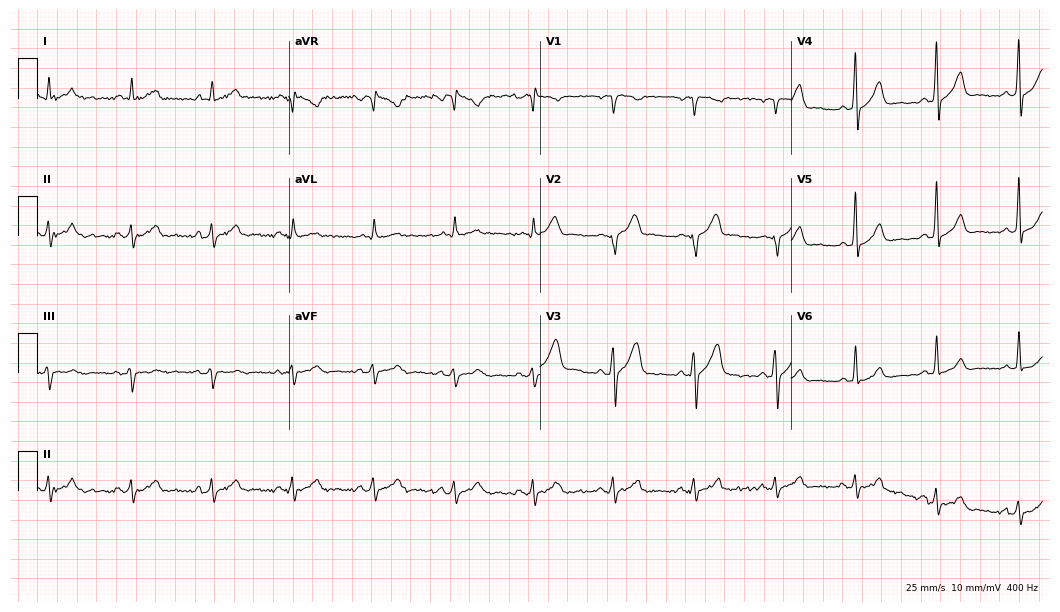
Standard 12-lead ECG recorded from a 52-year-old man. Read as a normal ECG.